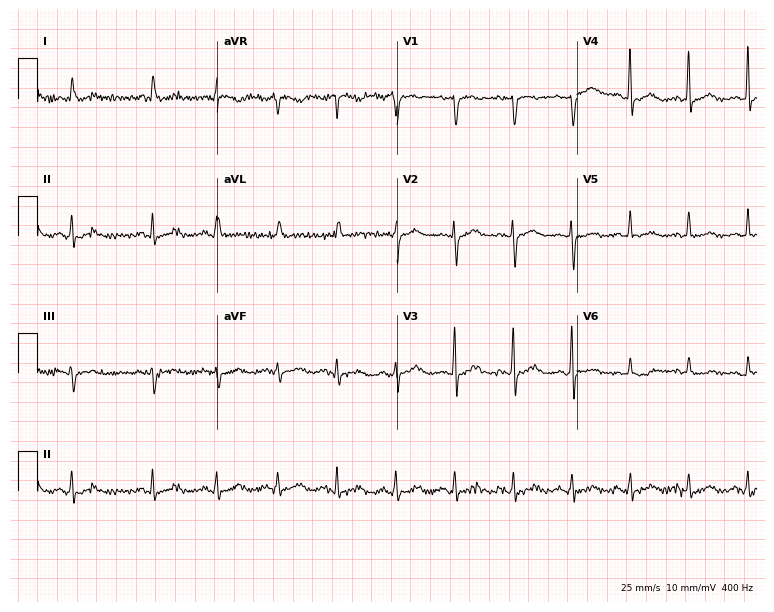
Electrocardiogram (7.3-second recording at 400 Hz), a woman, 83 years old. Of the six screened findings (first-degree AV block, right bundle branch block, left bundle branch block, sinus bradycardia, atrial fibrillation, sinus tachycardia), none is recorded.